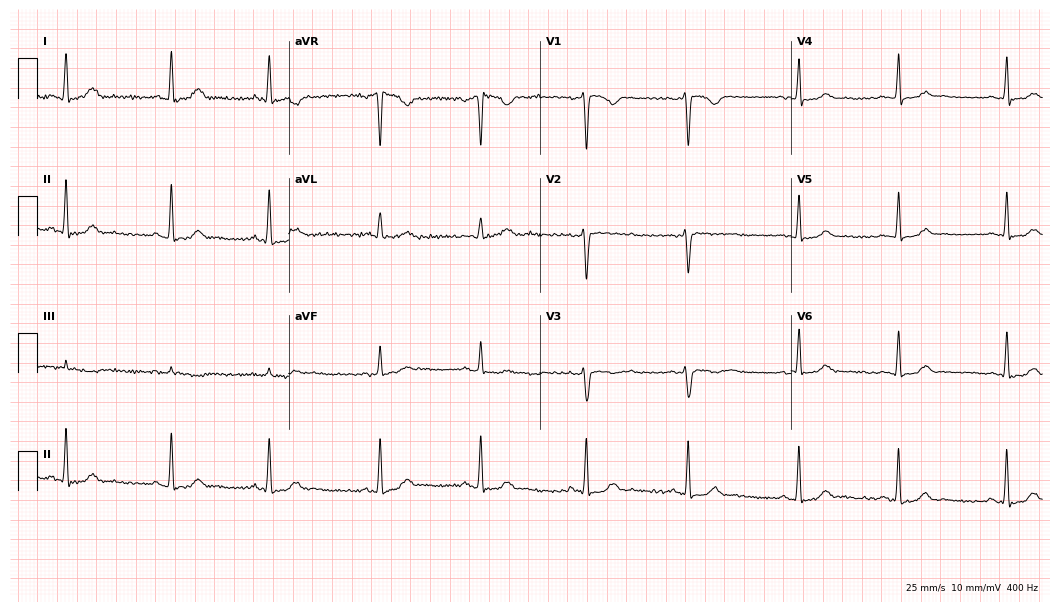
12-lead ECG from a 25-year-old woman. No first-degree AV block, right bundle branch block (RBBB), left bundle branch block (LBBB), sinus bradycardia, atrial fibrillation (AF) or sinus tachycardia recorded for this tracing.